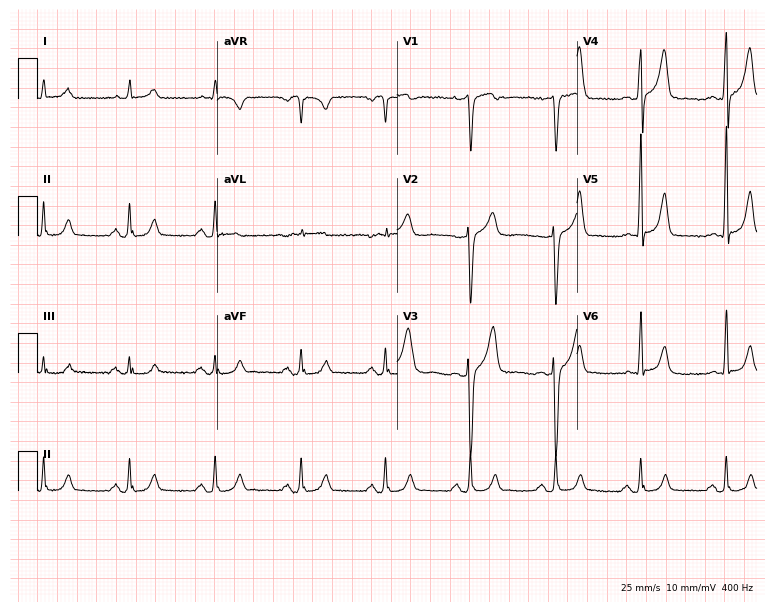
Electrocardiogram, a male, 76 years old. Overall reading on record: normal ECG.